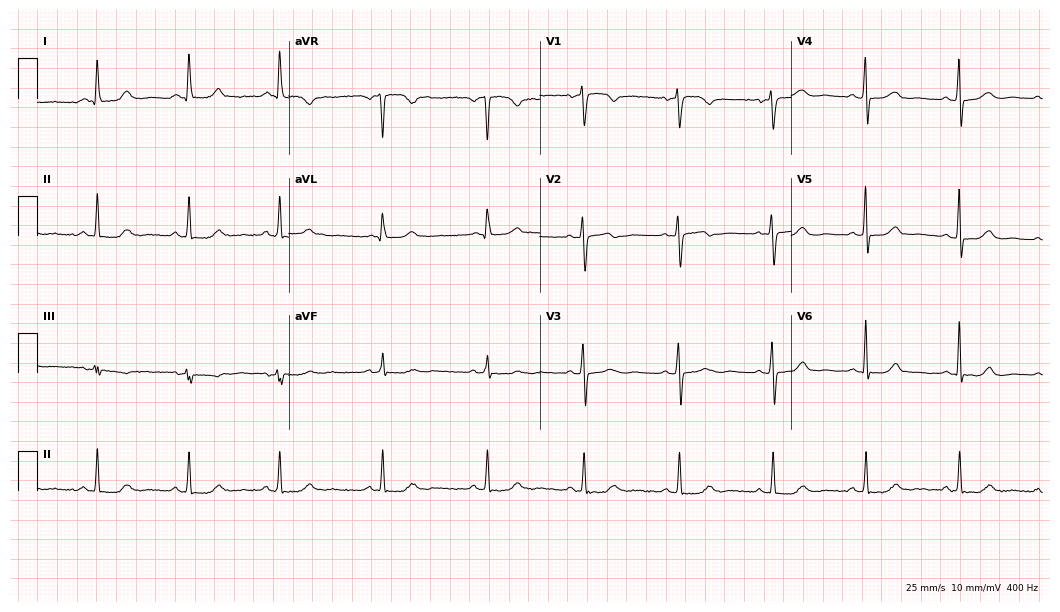
Standard 12-lead ECG recorded from a woman, 68 years old. None of these six findings is recorded: first-degree AV block, right bundle branch block, left bundle branch block, sinus bradycardia, atrial fibrillation, sinus tachycardia. Findings outside these six are not listed.